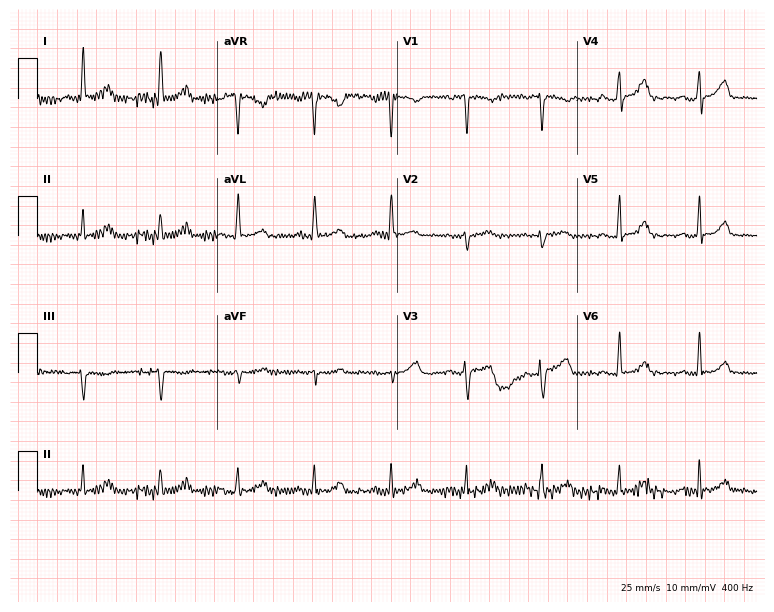
Resting 12-lead electrocardiogram (7.3-second recording at 400 Hz). Patient: a 51-year-old woman. Read as a normal ECG.